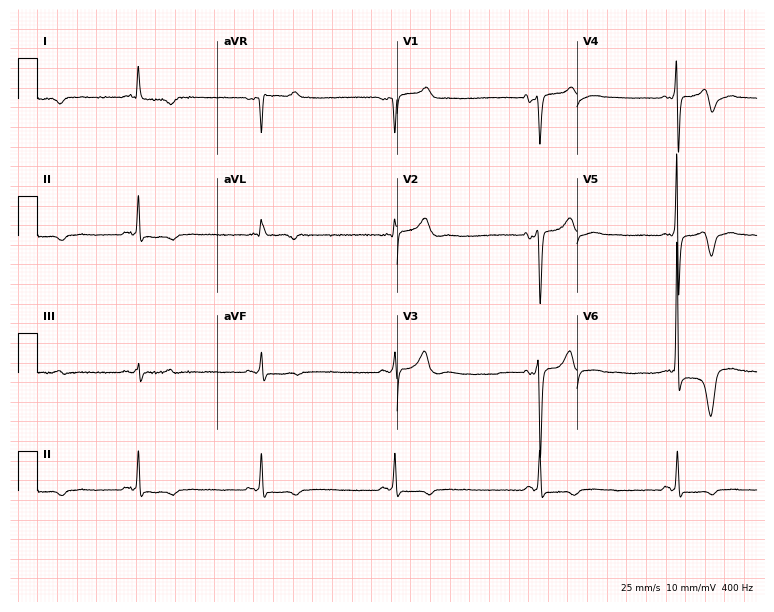
Standard 12-lead ECG recorded from a male, 82 years old (7.3-second recording at 400 Hz). The tracing shows sinus bradycardia (a sinus rate of 50 beats per minute or less).